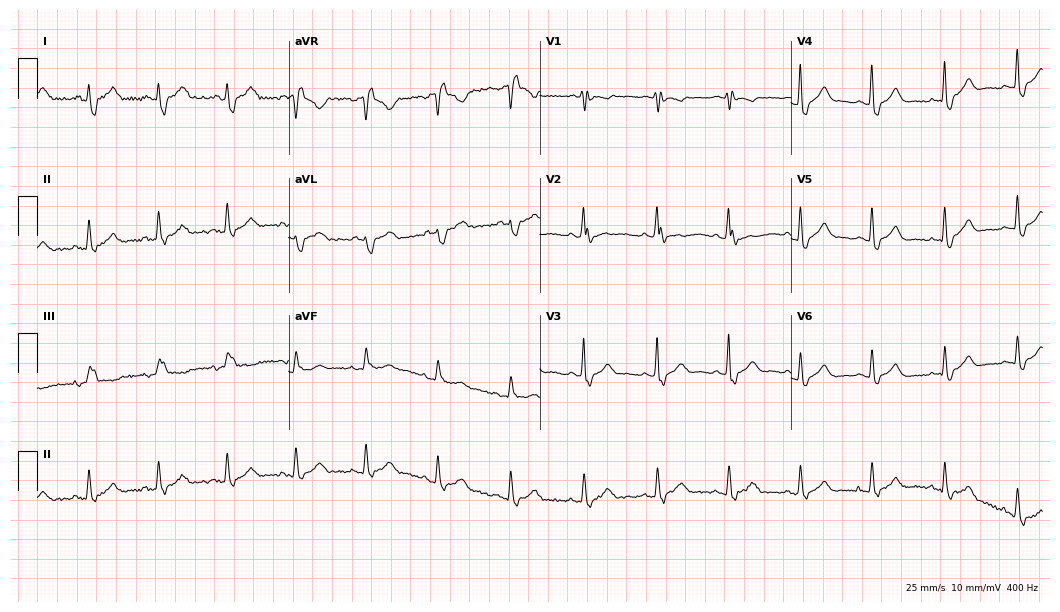
12-lead ECG from a 58-year-old man. Shows right bundle branch block.